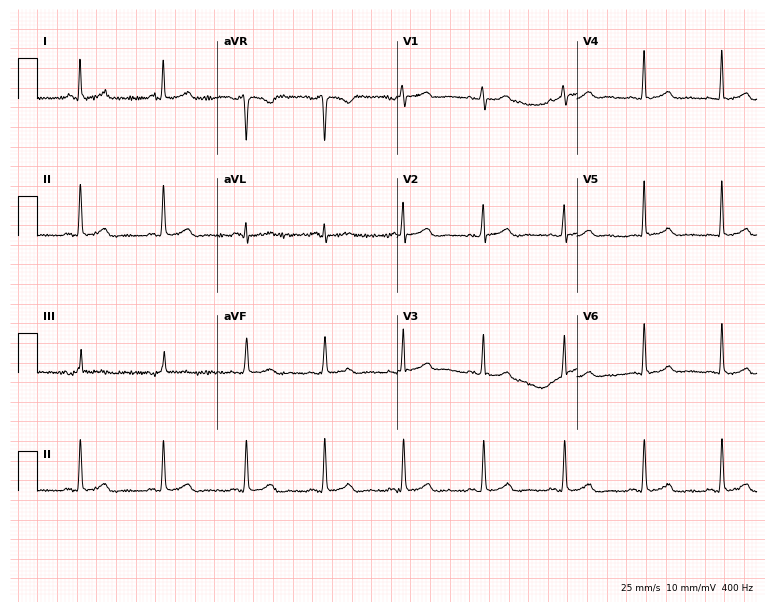
Electrocardiogram, a 55-year-old female patient. Overall reading on record: normal ECG.